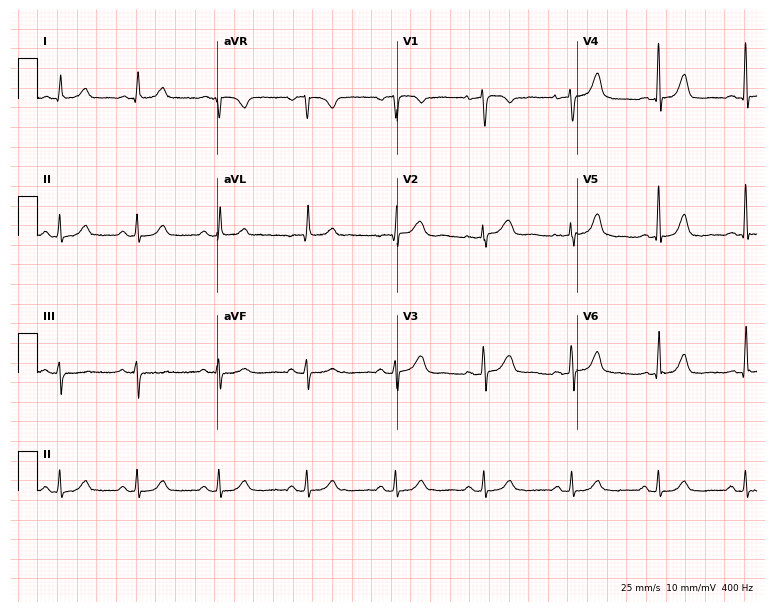
Electrocardiogram (7.3-second recording at 400 Hz), a 47-year-old female patient. Overall reading on record: normal ECG.